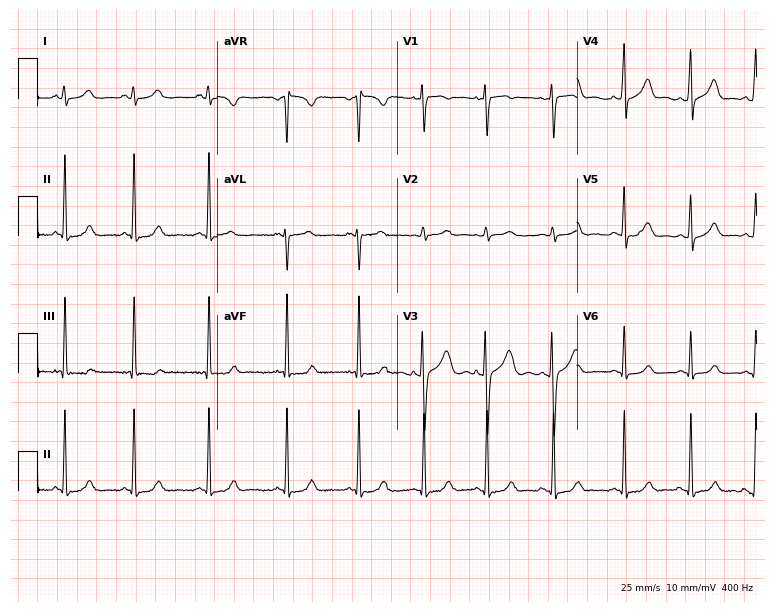
12-lead ECG from an 18-year-old female patient. Labelled as a normal ECG.